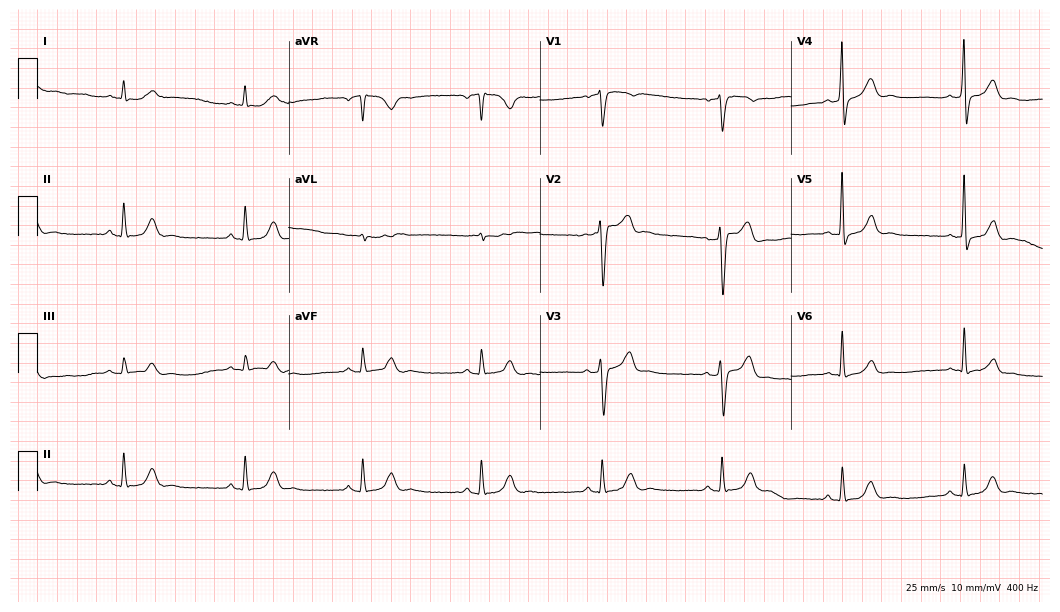
Standard 12-lead ECG recorded from a male patient, 60 years old. None of these six findings is recorded: first-degree AV block, right bundle branch block (RBBB), left bundle branch block (LBBB), sinus bradycardia, atrial fibrillation (AF), sinus tachycardia. Only these six findings were labelled.